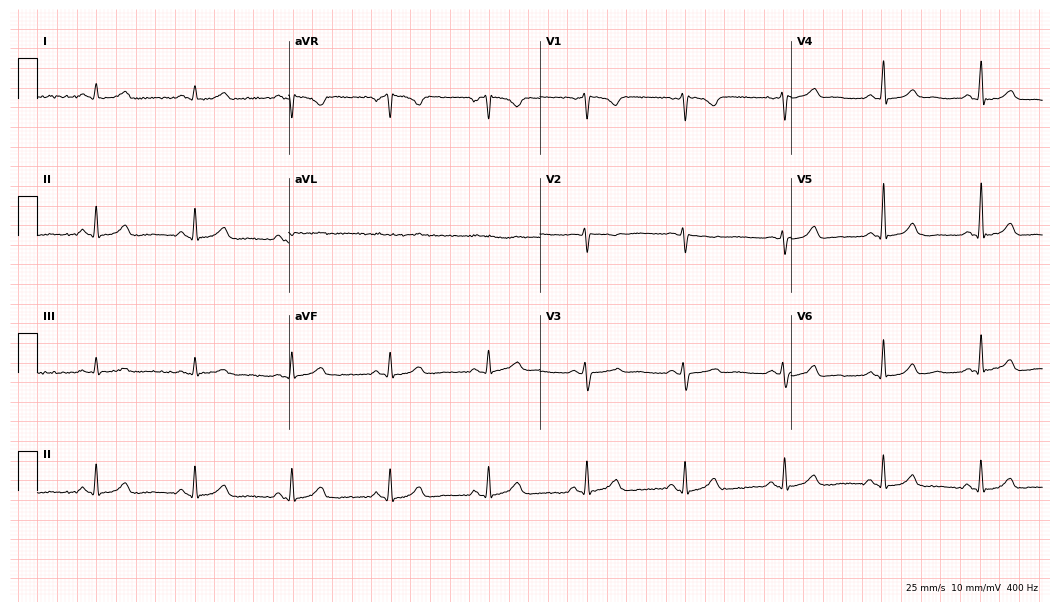
12-lead ECG from a woman, 53 years old. Screened for six findings — first-degree AV block, right bundle branch block, left bundle branch block, sinus bradycardia, atrial fibrillation, sinus tachycardia — none is recorded.